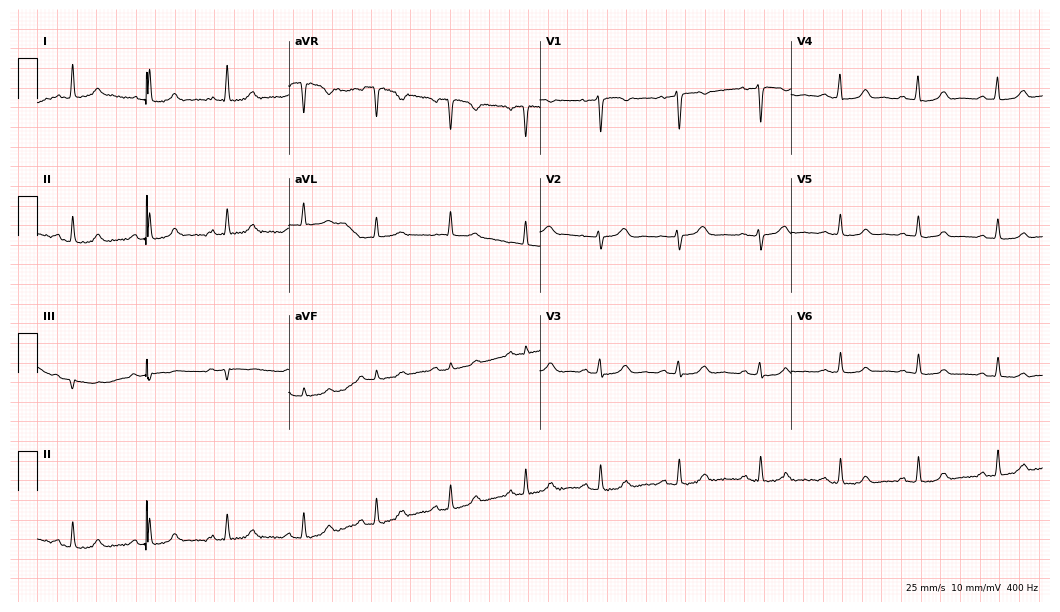
12-lead ECG from a 50-year-old female. Labelled as a normal ECG.